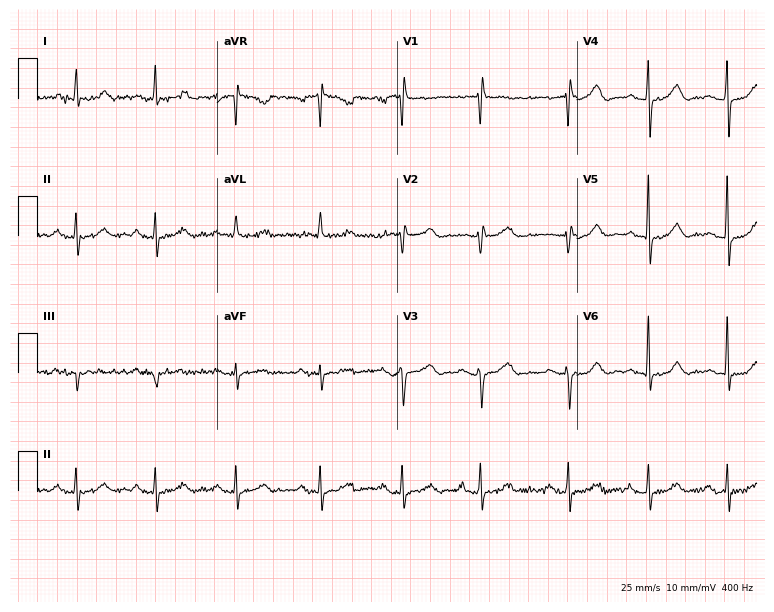
12-lead ECG from a 68-year-old female. Screened for six findings — first-degree AV block, right bundle branch block, left bundle branch block, sinus bradycardia, atrial fibrillation, sinus tachycardia — none is recorded. Findings outside these six are not listed.